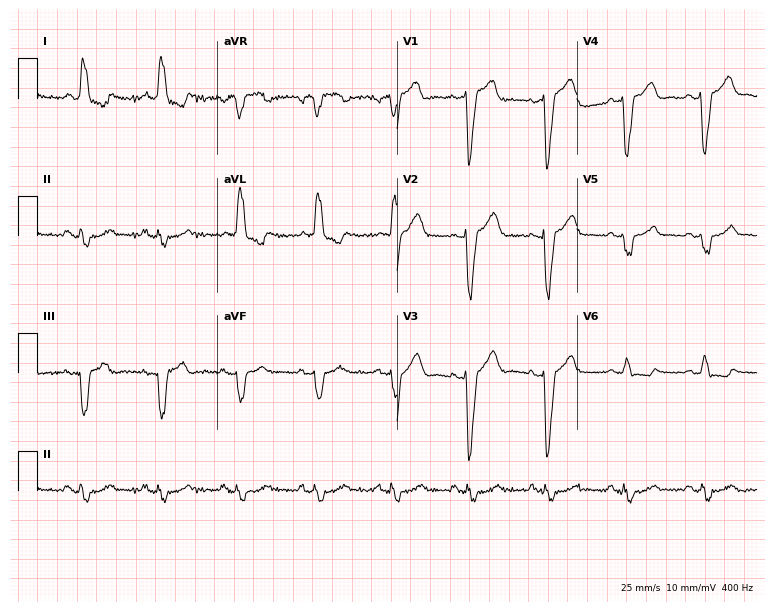
12-lead ECG from a woman, 68 years old (7.3-second recording at 400 Hz). Shows left bundle branch block (LBBB).